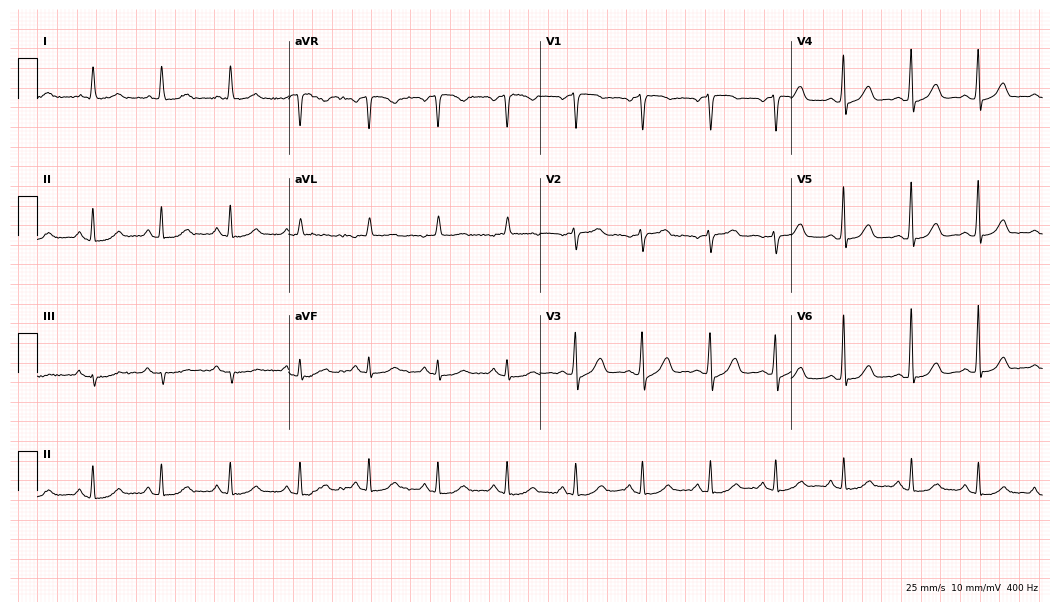
Resting 12-lead electrocardiogram (10.2-second recording at 400 Hz). Patient: a female, 81 years old. None of these six findings is recorded: first-degree AV block, right bundle branch block, left bundle branch block, sinus bradycardia, atrial fibrillation, sinus tachycardia.